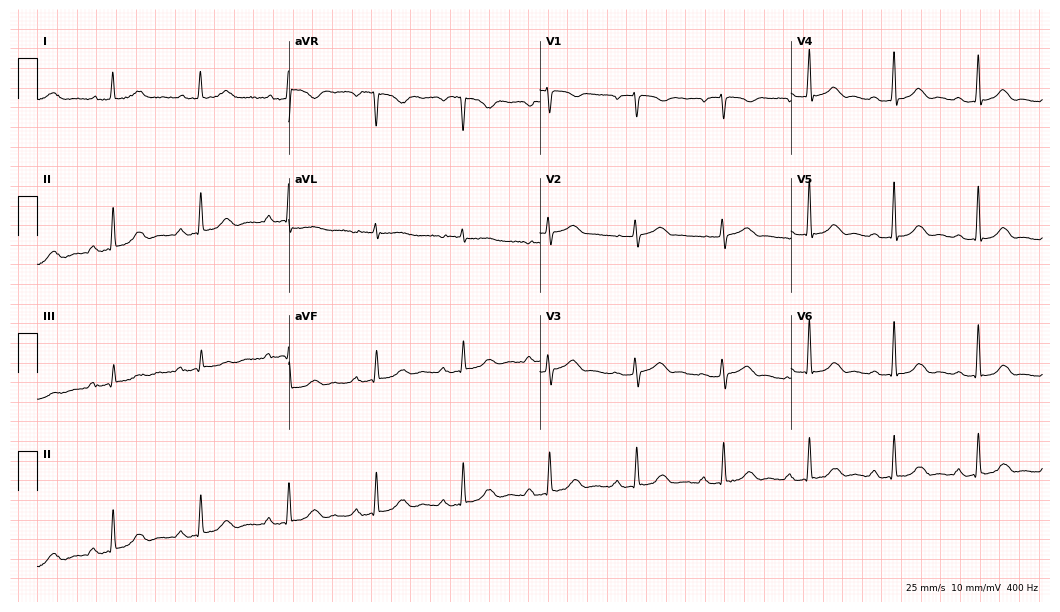
Electrocardiogram, a female patient, 72 years old. Overall reading on record: normal ECG.